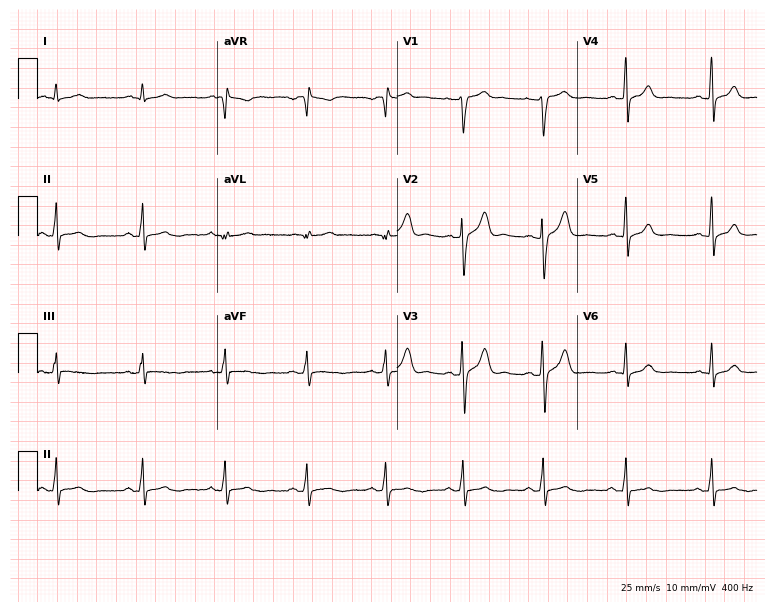
Standard 12-lead ECG recorded from a man, 24 years old. Read as a normal ECG.